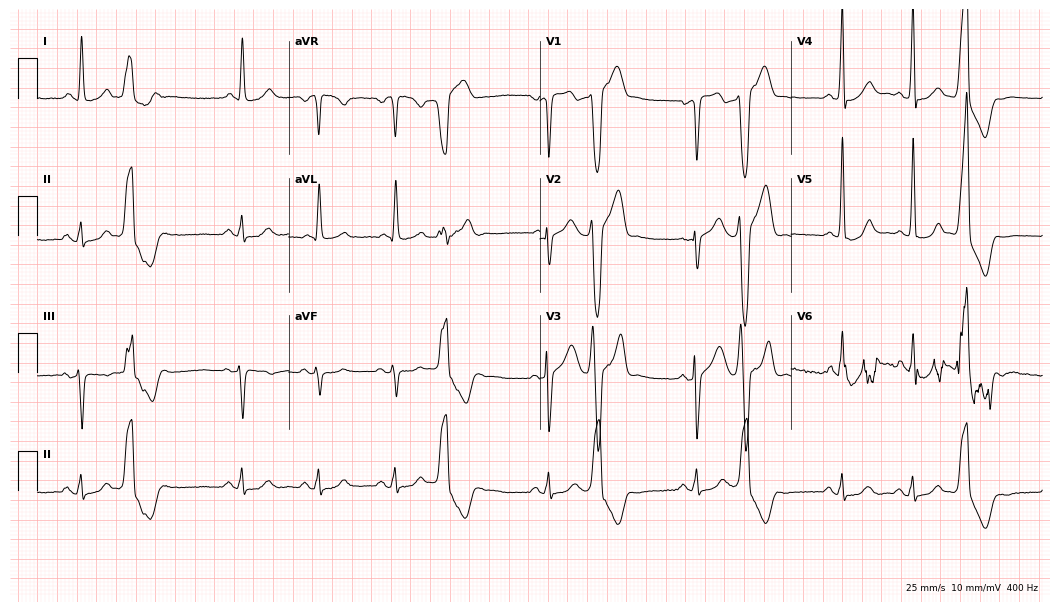
Electrocardiogram, a male, 47 years old. Of the six screened findings (first-degree AV block, right bundle branch block (RBBB), left bundle branch block (LBBB), sinus bradycardia, atrial fibrillation (AF), sinus tachycardia), none is recorded.